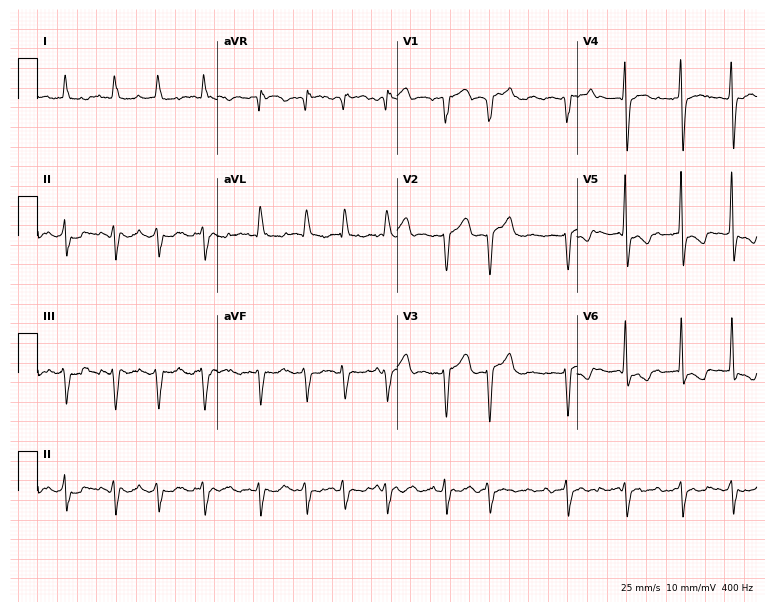
Standard 12-lead ECG recorded from a 75-year-old man (7.3-second recording at 400 Hz). The tracing shows atrial fibrillation.